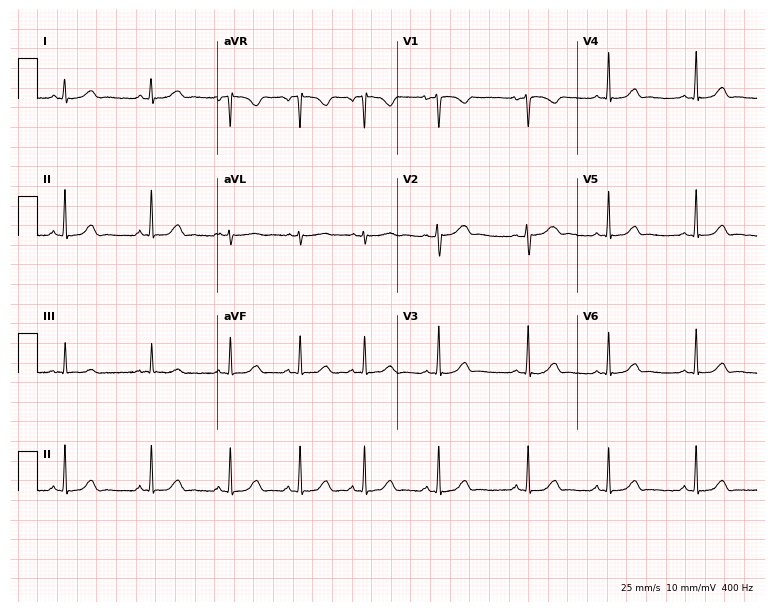
12-lead ECG from a woman, 24 years old (7.3-second recording at 400 Hz). Recorded interpretation: within normal limits.